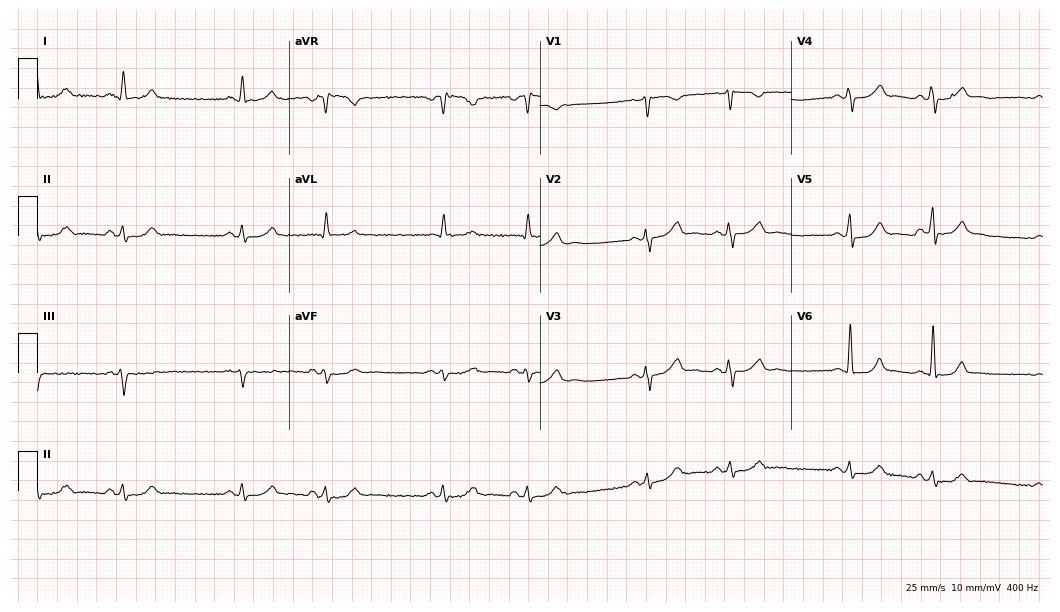
Standard 12-lead ECG recorded from a 47-year-old female patient (10.2-second recording at 400 Hz). None of these six findings is recorded: first-degree AV block, right bundle branch block (RBBB), left bundle branch block (LBBB), sinus bradycardia, atrial fibrillation (AF), sinus tachycardia. Other findings, if any, are not listed.